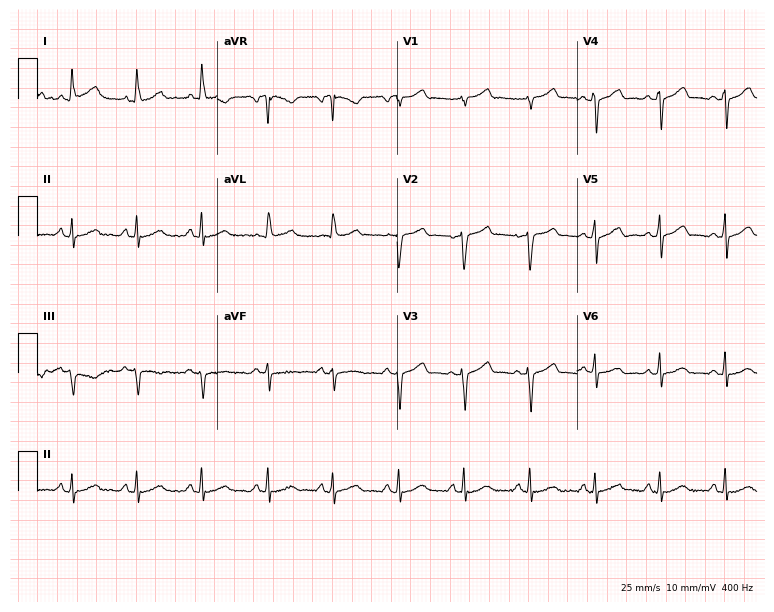
12-lead ECG (7.3-second recording at 400 Hz) from a 71-year-old woman. Labelled as a normal ECG.